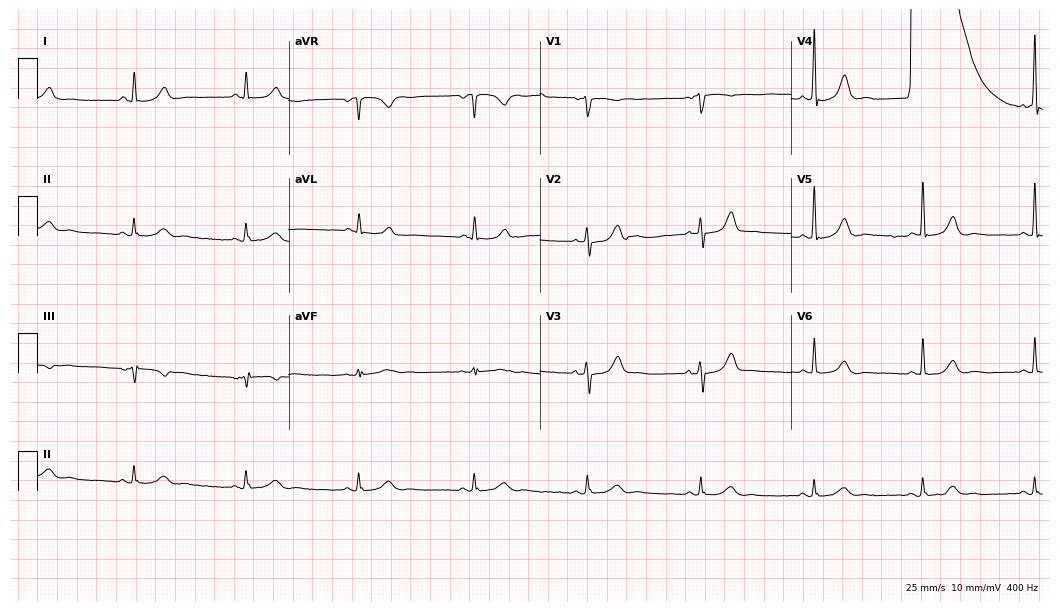
Resting 12-lead electrocardiogram (10.2-second recording at 400 Hz). Patient: a male, 78 years old. Read as a normal ECG.